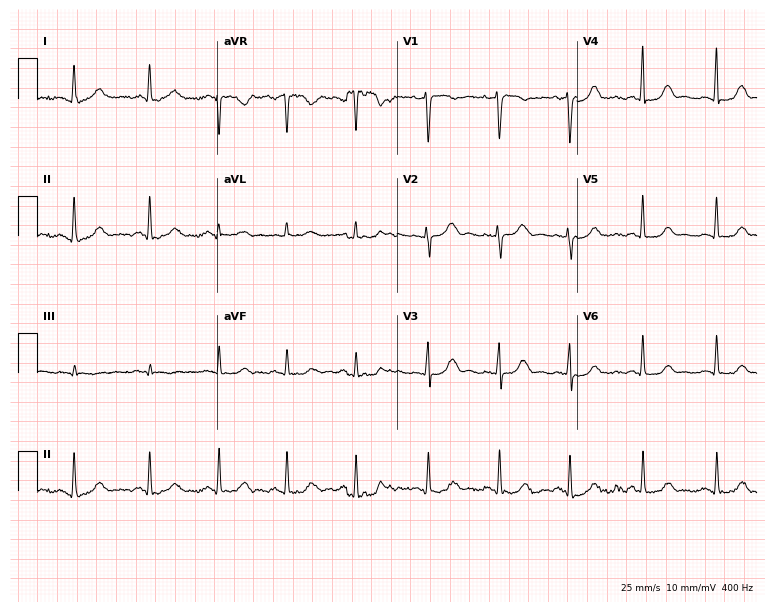
ECG (7.3-second recording at 400 Hz) — a woman, 54 years old. Screened for six findings — first-degree AV block, right bundle branch block (RBBB), left bundle branch block (LBBB), sinus bradycardia, atrial fibrillation (AF), sinus tachycardia — none is recorded. Only these six findings were labelled.